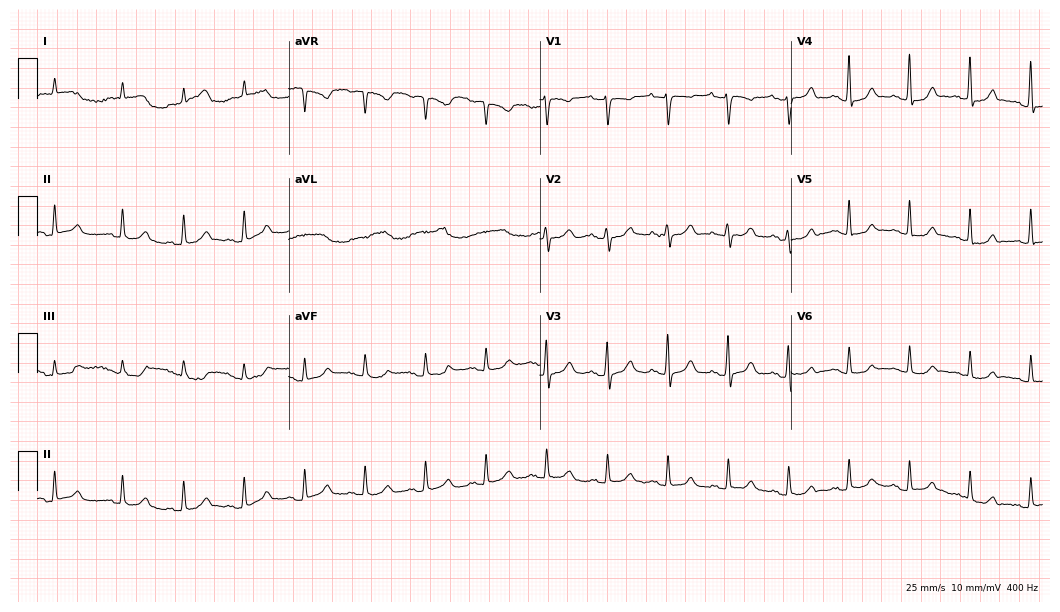
Standard 12-lead ECG recorded from a woman, 75 years old (10.2-second recording at 400 Hz). Read as a normal ECG.